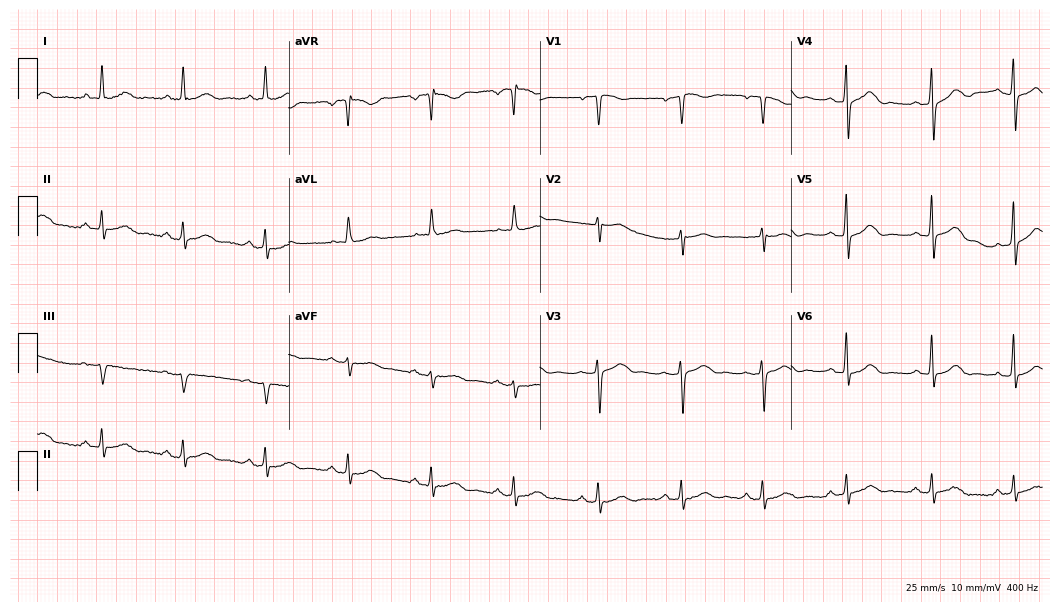
Standard 12-lead ECG recorded from a female, 64 years old. Read as a normal ECG.